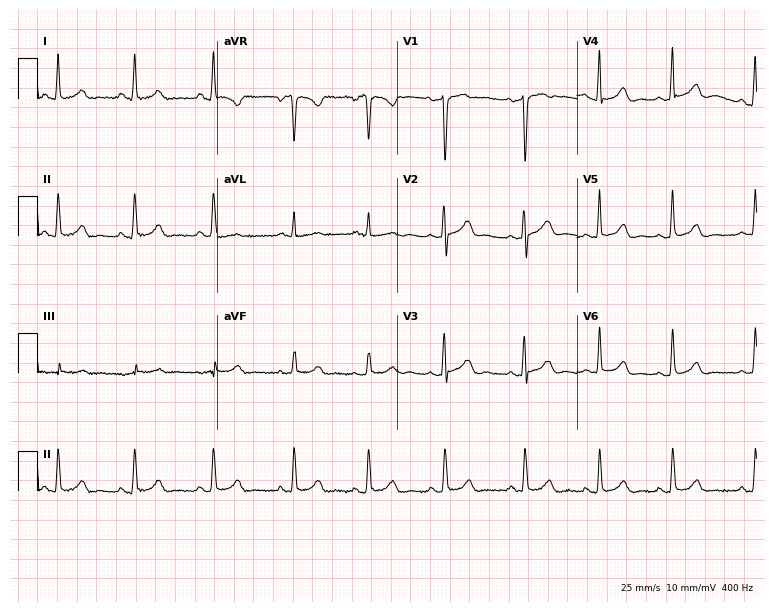
12-lead ECG from a female patient, 21 years old. Labelled as a normal ECG.